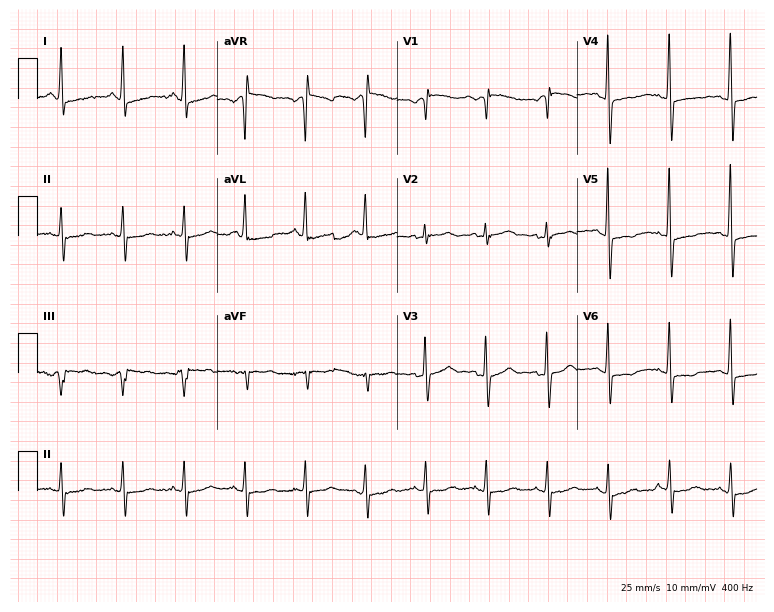
Standard 12-lead ECG recorded from a female patient, 82 years old. None of these six findings is recorded: first-degree AV block, right bundle branch block, left bundle branch block, sinus bradycardia, atrial fibrillation, sinus tachycardia.